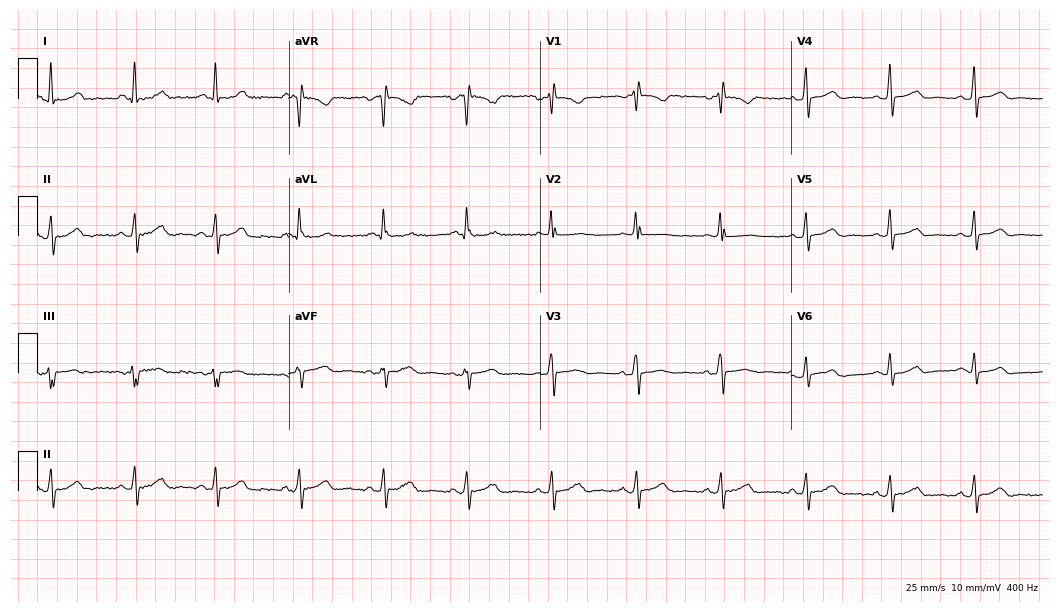
Standard 12-lead ECG recorded from a female, 66 years old (10.2-second recording at 400 Hz). None of these six findings is recorded: first-degree AV block, right bundle branch block, left bundle branch block, sinus bradycardia, atrial fibrillation, sinus tachycardia.